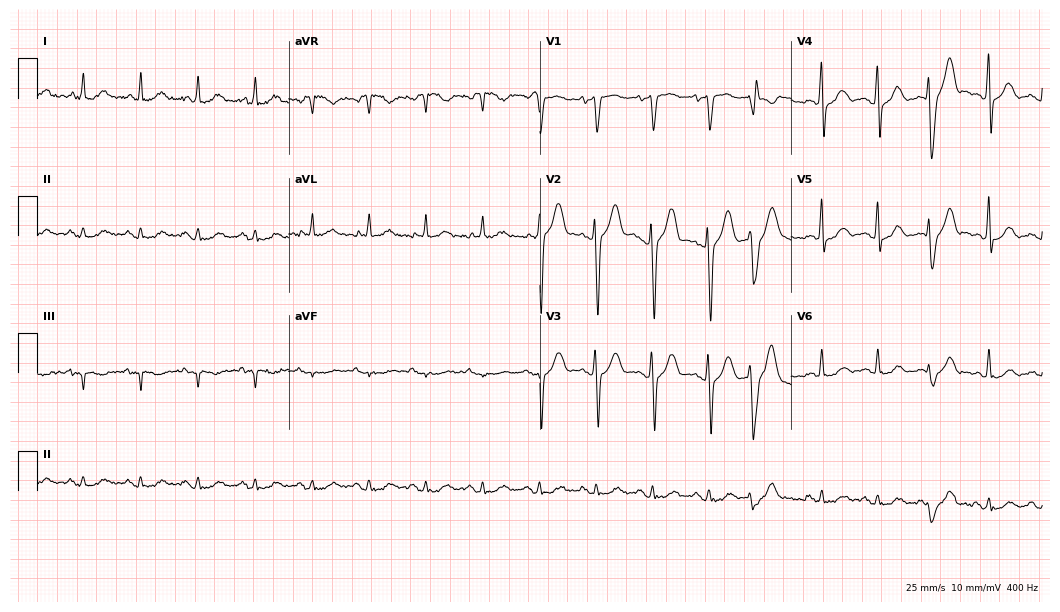
12-lead ECG from a male, 59 years old (10.2-second recording at 400 Hz). Shows sinus tachycardia (a sinus rate of 100 beats per minute or more).